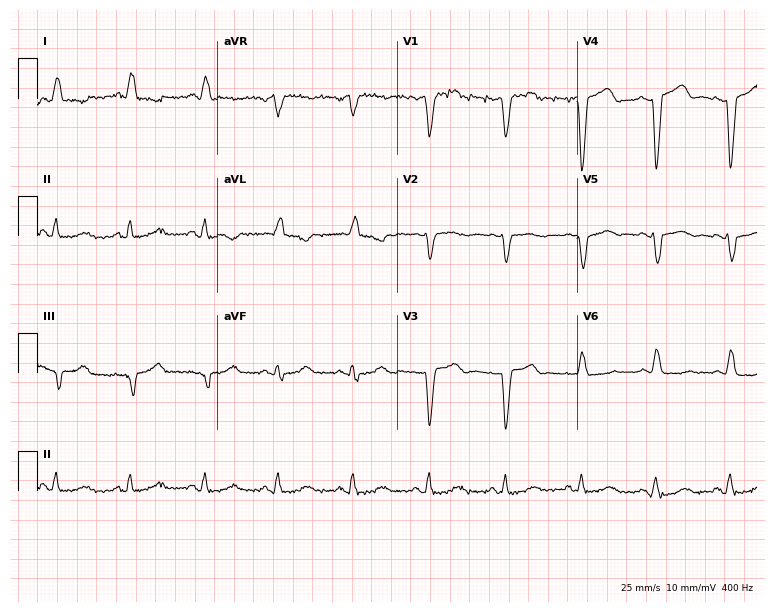
Resting 12-lead electrocardiogram. Patient: a female, 77 years old. None of these six findings is recorded: first-degree AV block, right bundle branch block (RBBB), left bundle branch block (LBBB), sinus bradycardia, atrial fibrillation (AF), sinus tachycardia. Only these six findings were labelled.